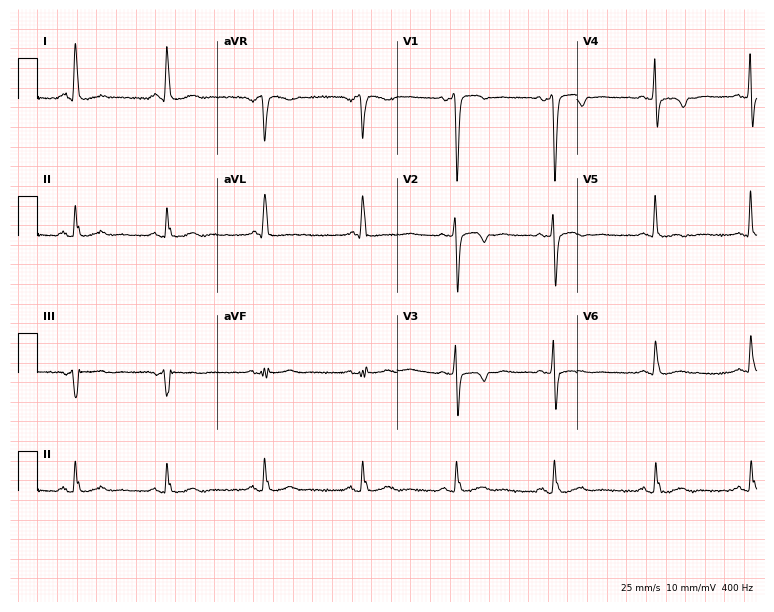
Standard 12-lead ECG recorded from a 58-year-old man. None of these six findings is recorded: first-degree AV block, right bundle branch block (RBBB), left bundle branch block (LBBB), sinus bradycardia, atrial fibrillation (AF), sinus tachycardia. Other findings, if any, are not listed.